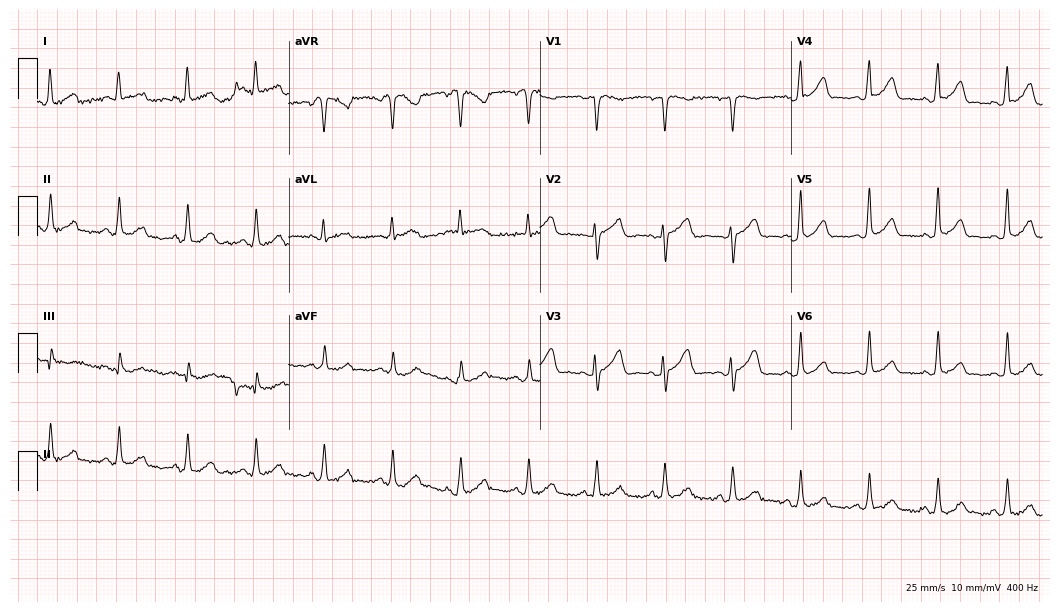
ECG — a female patient, 56 years old. Labelled as a normal ECG.